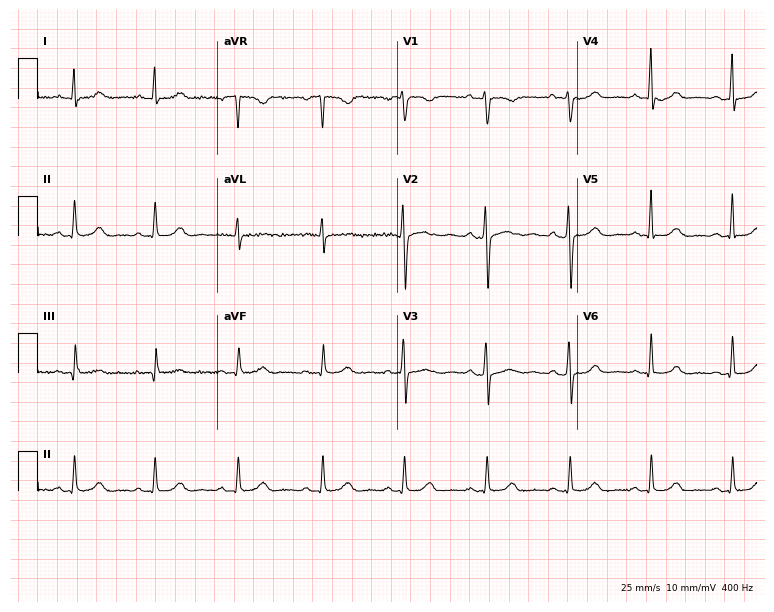
12-lead ECG from a 31-year-old woman (7.3-second recording at 400 Hz). No first-degree AV block, right bundle branch block, left bundle branch block, sinus bradycardia, atrial fibrillation or sinus tachycardia recorded for this tracing.